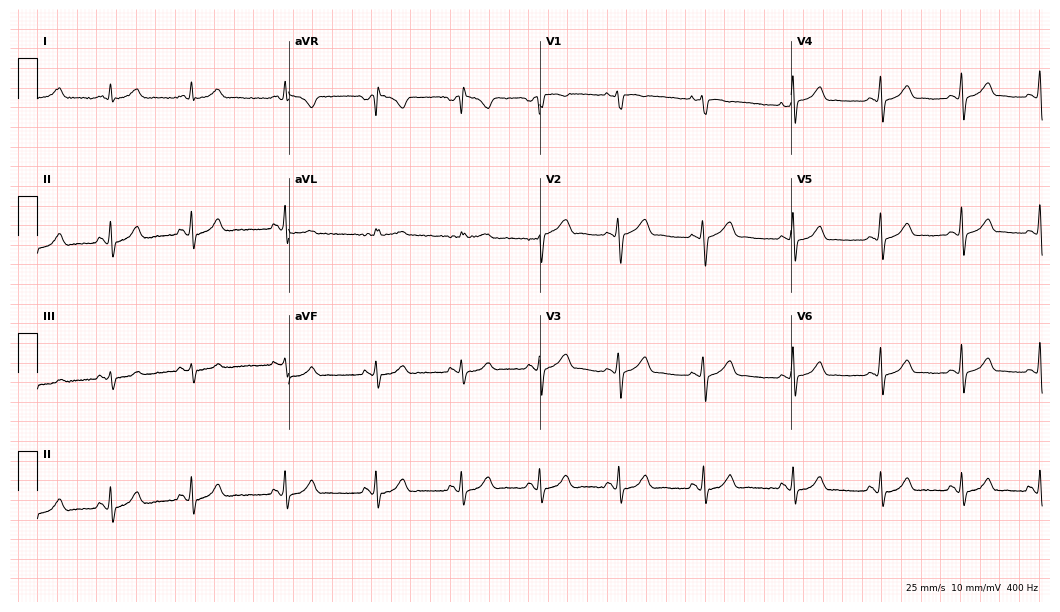
Electrocardiogram (10.2-second recording at 400 Hz), a 25-year-old female patient. Overall reading on record: normal ECG.